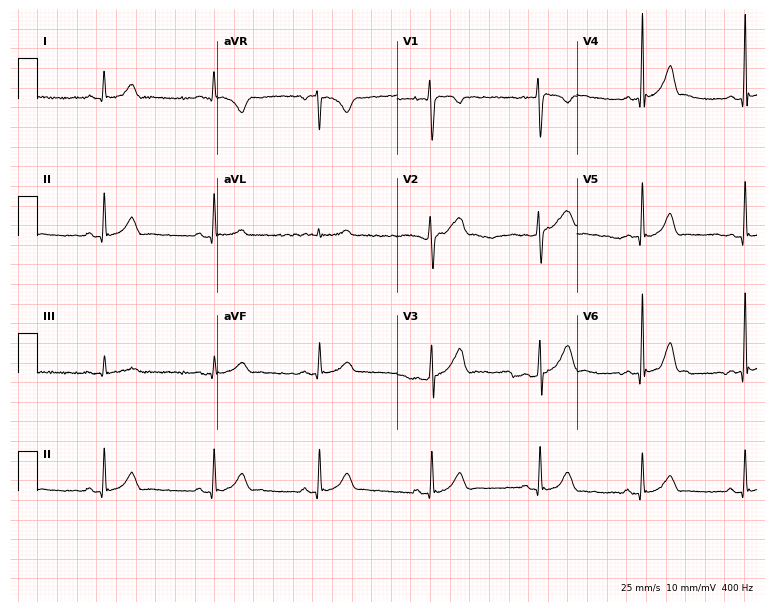
ECG — a 21-year-old man. Labelled as a normal ECG.